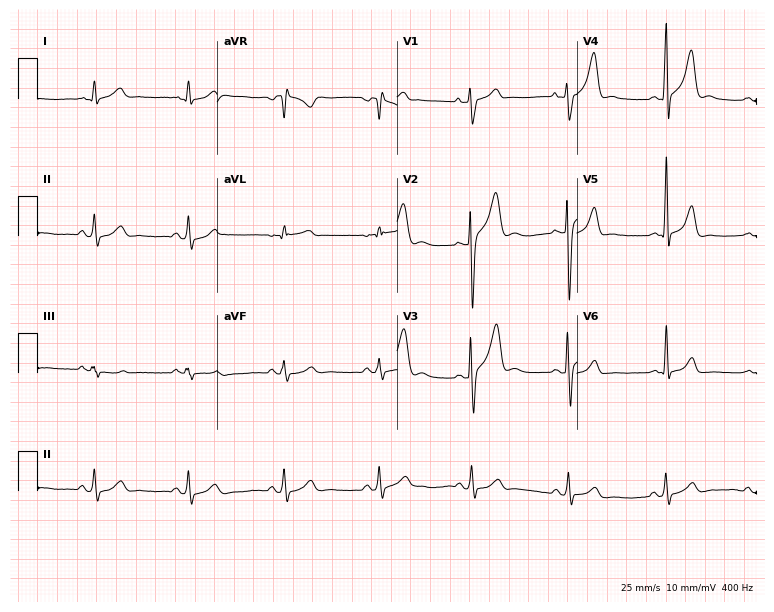
Resting 12-lead electrocardiogram (7.3-second recording at 400 Hz). Patient: a male, 22 years old. None of these six findings is recorded: first-degree AV block, right bundle branch block, left bundle branch block, sinus bradycardia, atrial fibrillation, sinus tachycardia. Other findings, if any, are not listed.